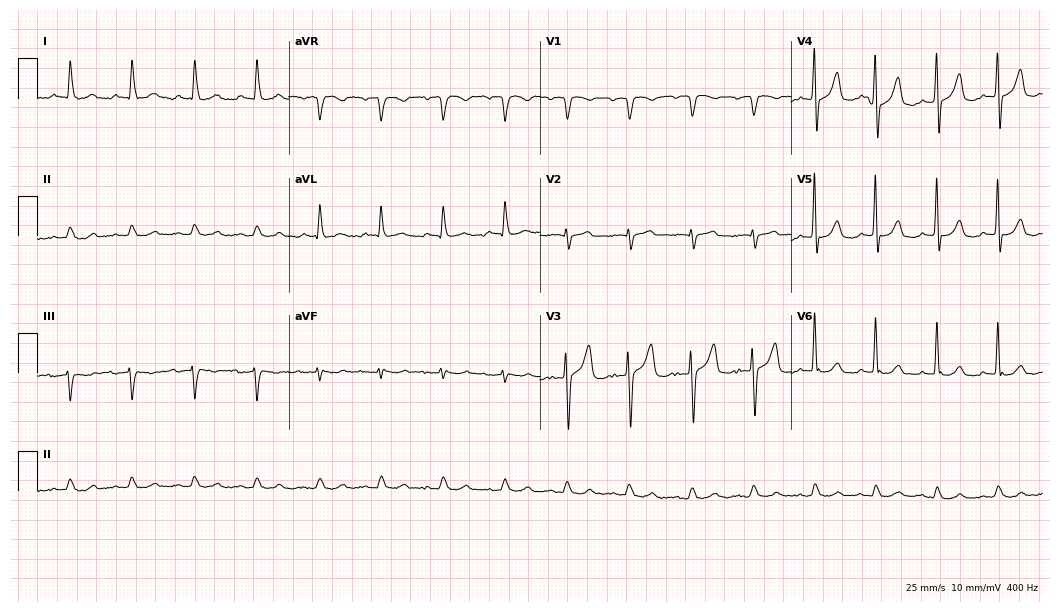
12-lead ECG from a male, 75 years old (10.2-second recording at 400 Hz). No first-degree AV block, right bundle branch block (RBBB), left bundle branch block (LBBB), sinus bradycardia, atrial fibrillation (AF) or sinus tachycardia recorded for this tracing.